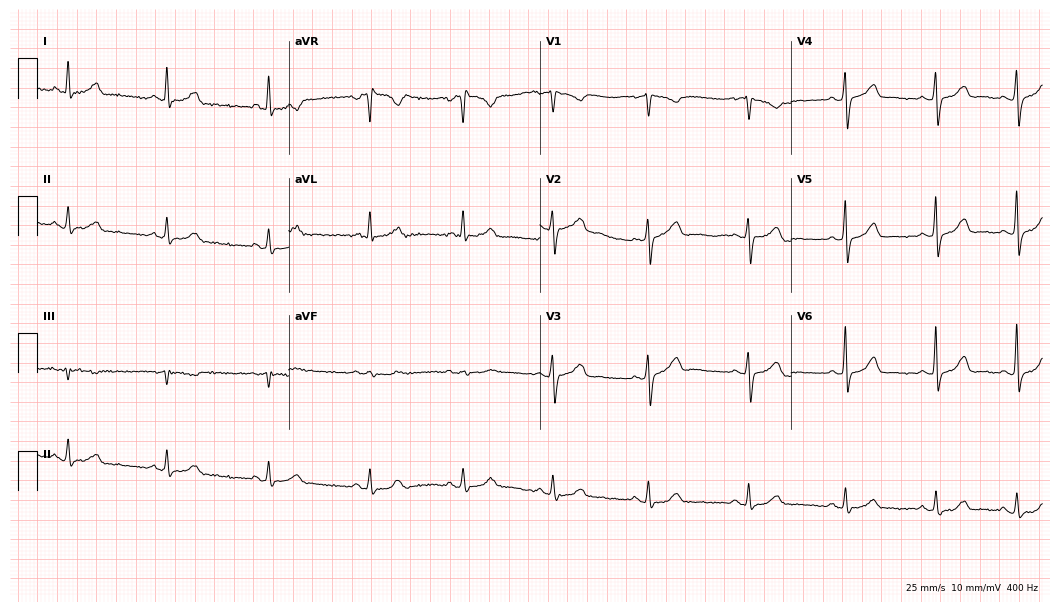
ECG — a 58-year-old female patient. Screened for six findings — first-degree AV block, right bundle branch block, left bundle branch block, sinus bradycardia, atrial fibrillation, sinus tachycardia — none is recorded.